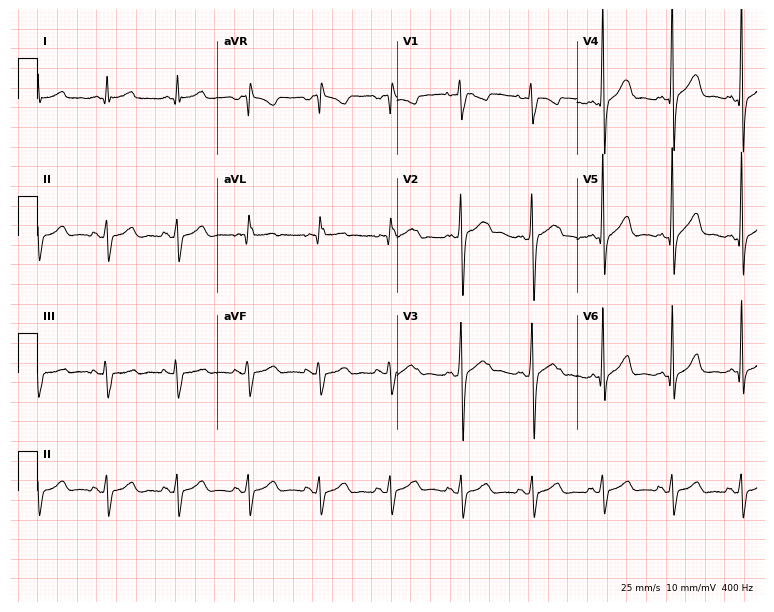
12-lead ECG from a 42-year-old man. No first-degree AV block, right bundle branch block, left bundle branch block, sinus bradycardia, atrial fibrillation or sinus tachycardia recorded for this tracing. Findings outside these six are not listed.